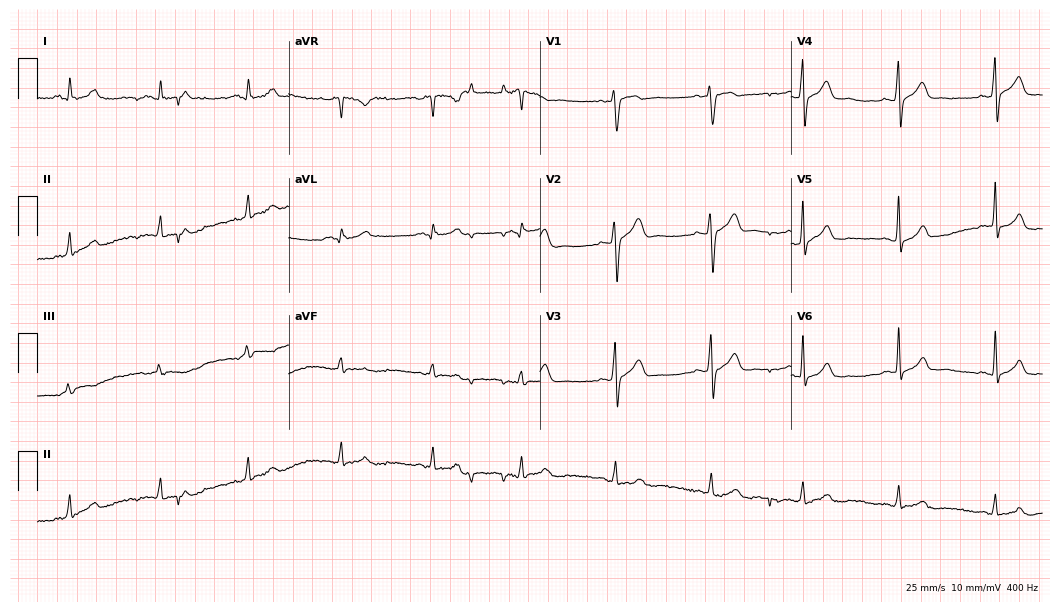
Resting 12-lead electrocardiogram. Patient: a male, 26 years old. Read as a normal ECG.